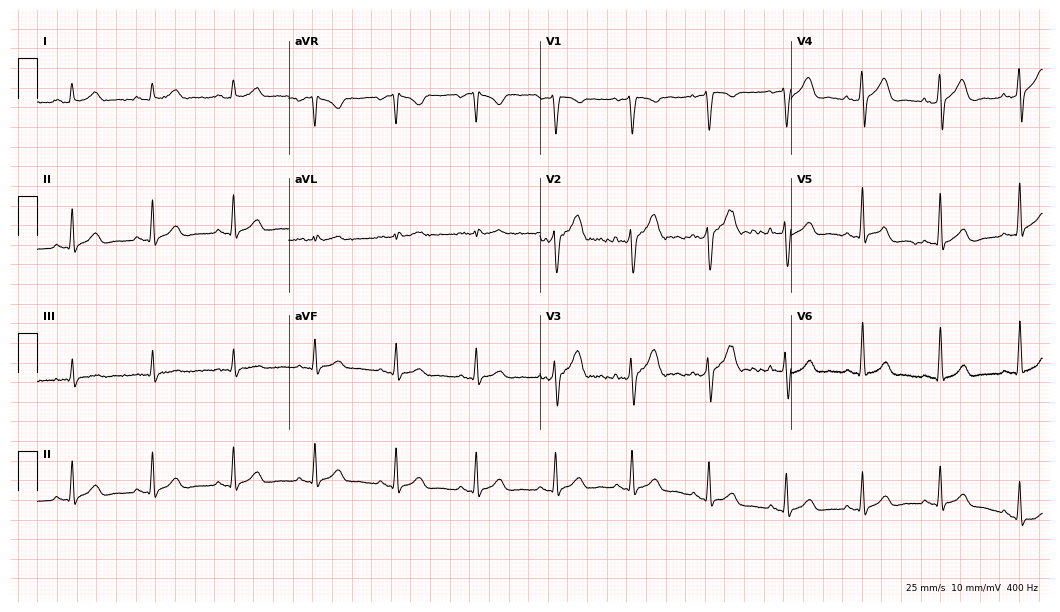
12-lead ECG from a 30-year-old male patient. Labelled as a normal ECG.